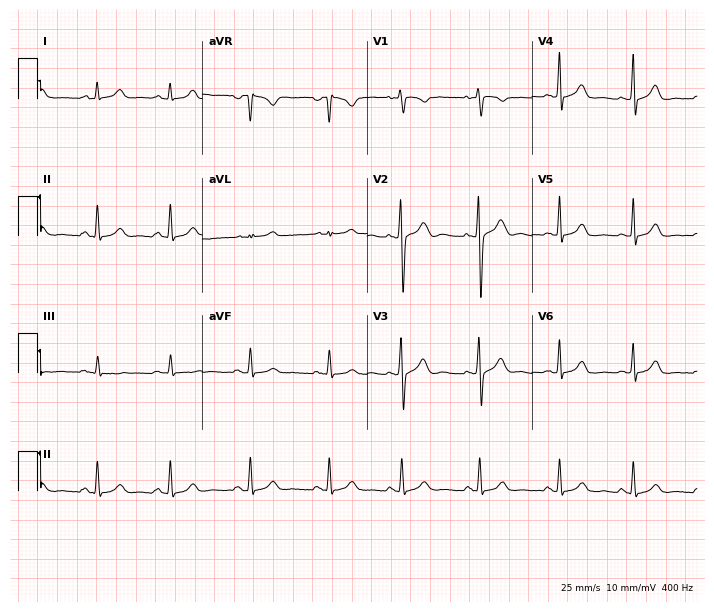
12-lead ECG from a 24-year-old woman. Recorded interpretation: within normal limits.